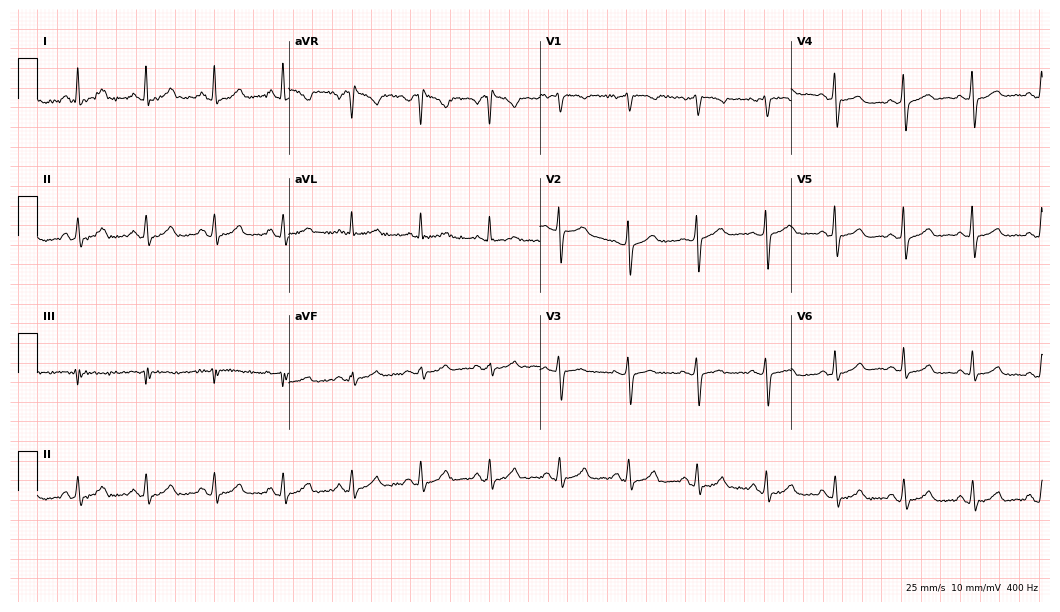
Electrocardiogram (10.2-second recording at 400 Hz), a female, 55 years old. Overall reading on record: normal ECG.